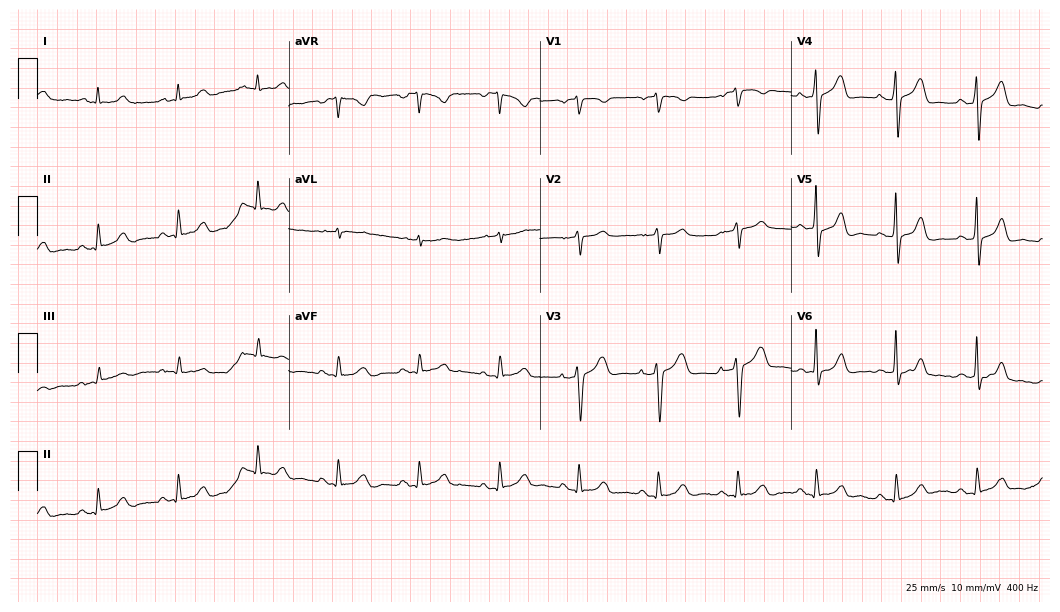
Resting 12-lead electrocardiogram (10.2-second recording at 400 Hz). Patient: a man, 53 years old. Read as a normal ECG.